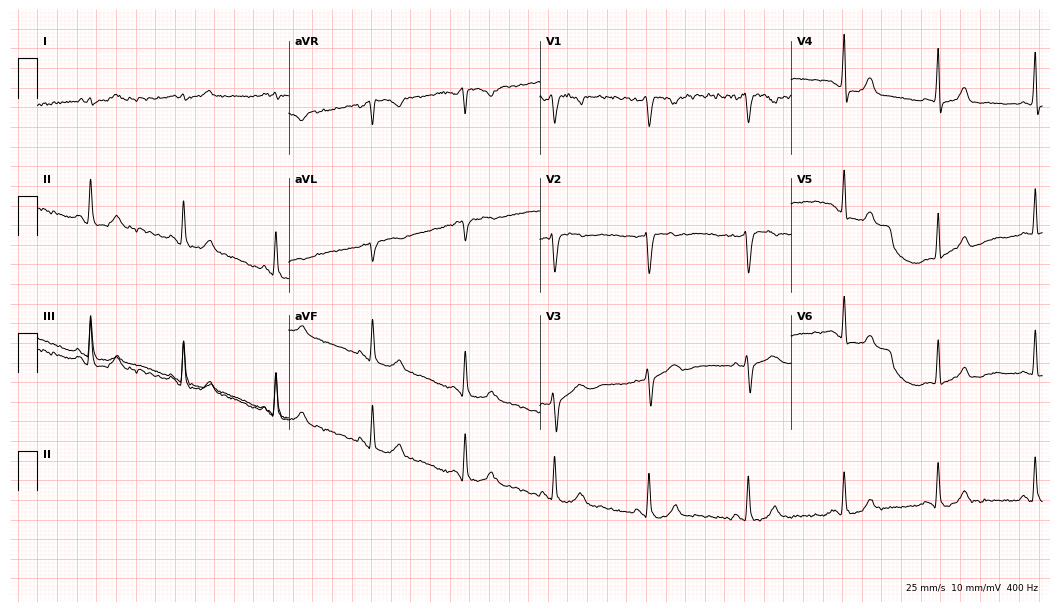
12-lead ECG from a female, 29 years old. No first-degree AV block, right bundle branch block (RBBB), left bundle branch block (LBBB), sinus bradycardia, atrial fibrillation (AF) or sinus tachycardia recorded for this tracing. Findings outside these six are not listed.